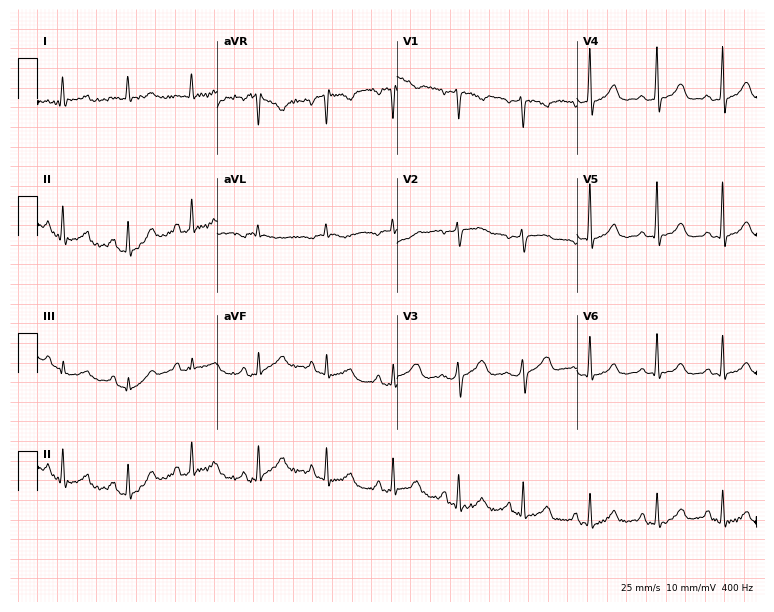
Resting 12-lead electrocardiogram (7.3-second recording at 400 Hz). Patient: a 43-year-old female. None of these six findings is recorded: first-degree AV block, right bundle branch block, left bundle branch block, sinus bradycardia, atrial fibrillation, sinus tachycardia.